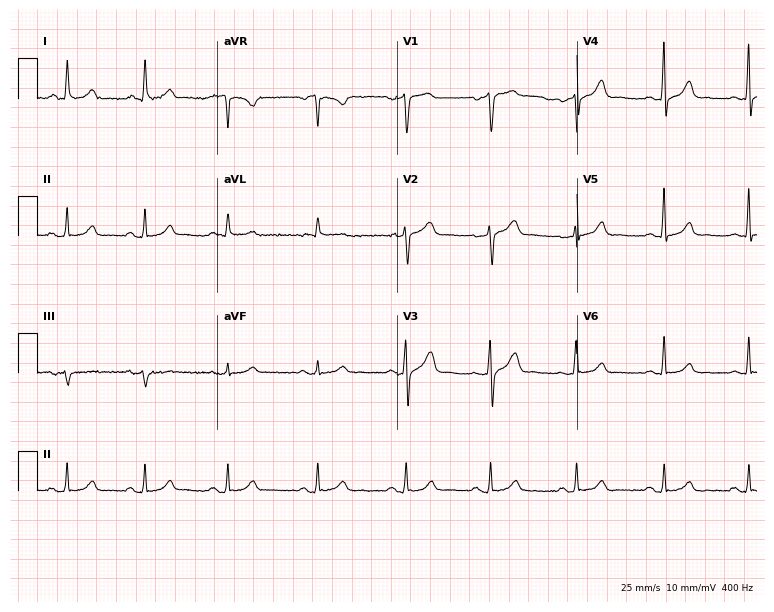
12-lead ECG (7.3-second recording at 400 Hz) from a 58-year-old male patient. Labelled as a normal ECG.